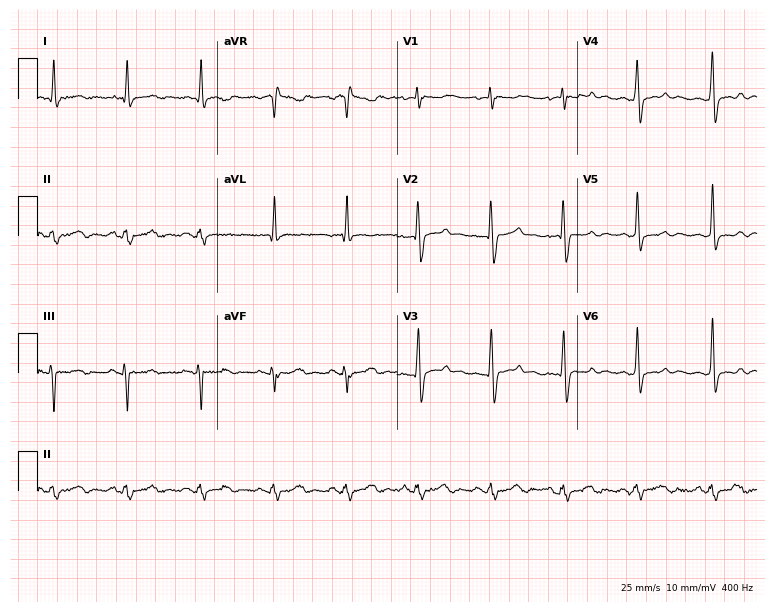
12-lead ECG from a male patient, 37 years old (7.3-second recording at 400 Hz). No first-degree AV block, right bundle branch block, left bundle branch block, sinus bradycardia, atrial fibrillation or sinus tachycardia recorded for this tracing.